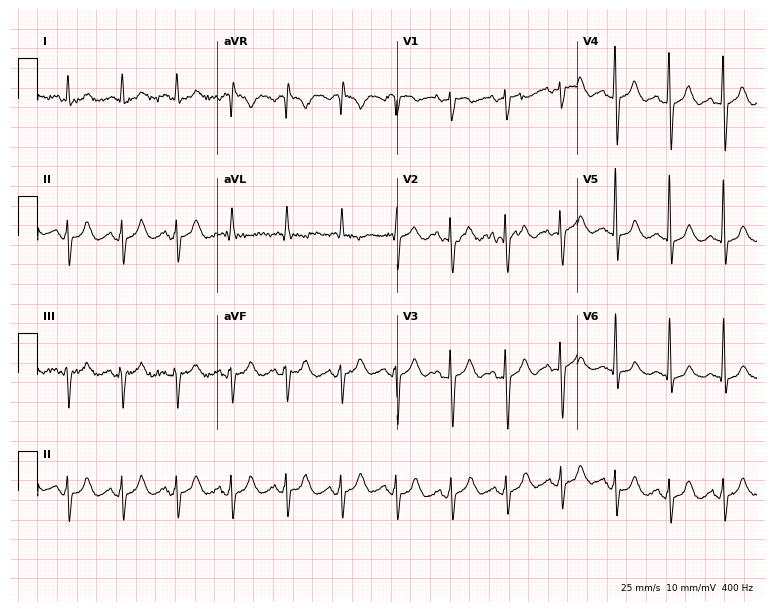
Resting 12-lead electrocardiogram (7.3-second recording at 400 Hz). Patient: a 57-year-old woman. None of these six findings is recorded: first-degree AV block, right bundle branch block, left bundle branch block, sinus bradycardia, atrial fibrillation, sinus tachycardia. Findings outside these six are not listed.